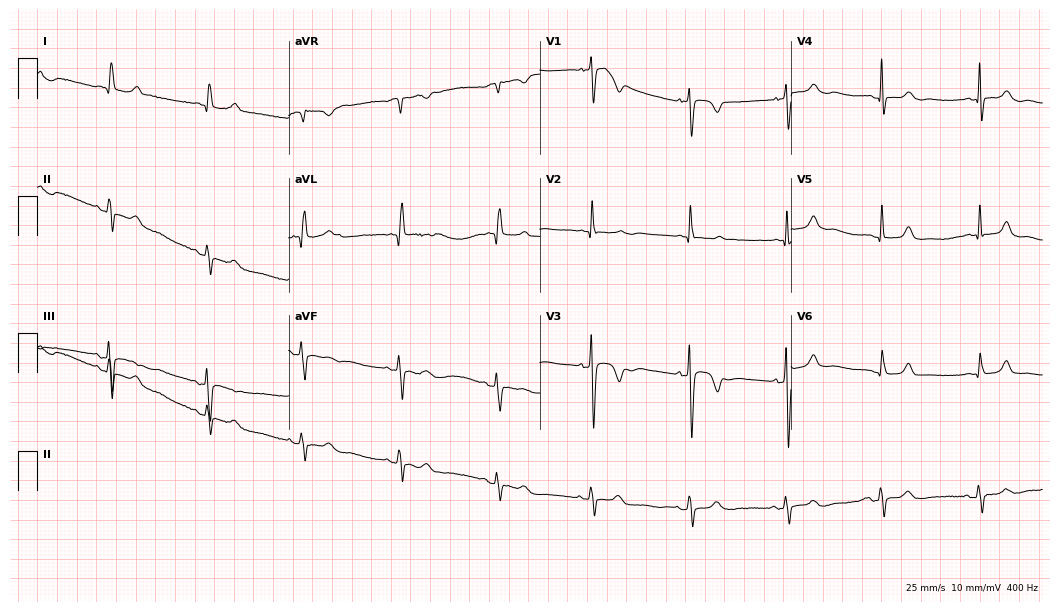
Electrocardiogram (10.2-second recording at 400 Hz), an 85-year-old female. Of the six screened findings (first-degree AV block, right bundle branch block, left bundle branch block, sinus bradycardia, atrial fibrillation, sinus tachycardia), none is recorded. Other findings, if any, are not listed.